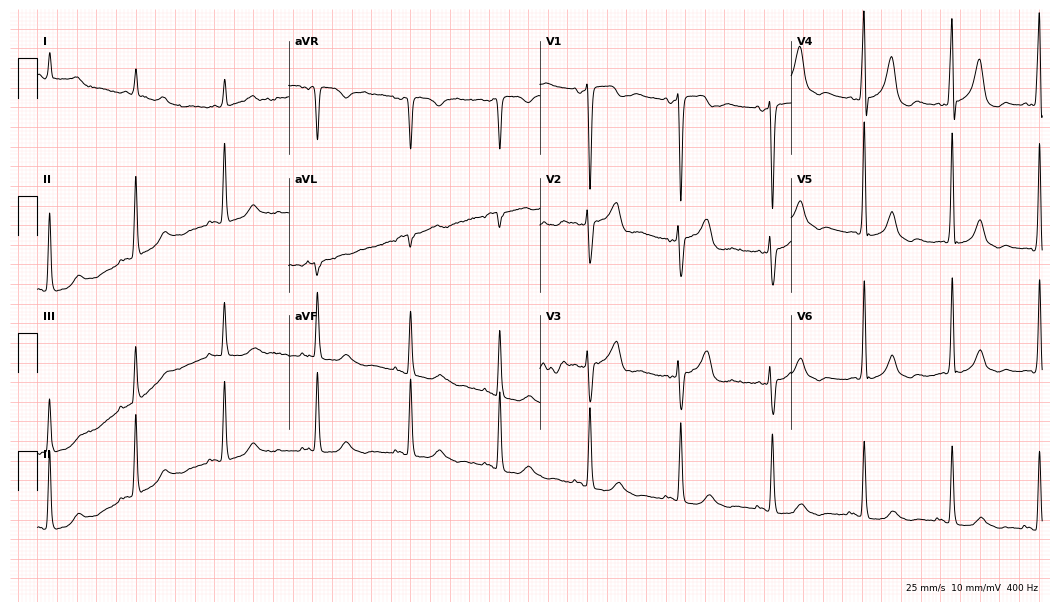
ECG (10.2-second recording at 400 Hz) — a man, 72 years old. Labelled as a normal ECG.